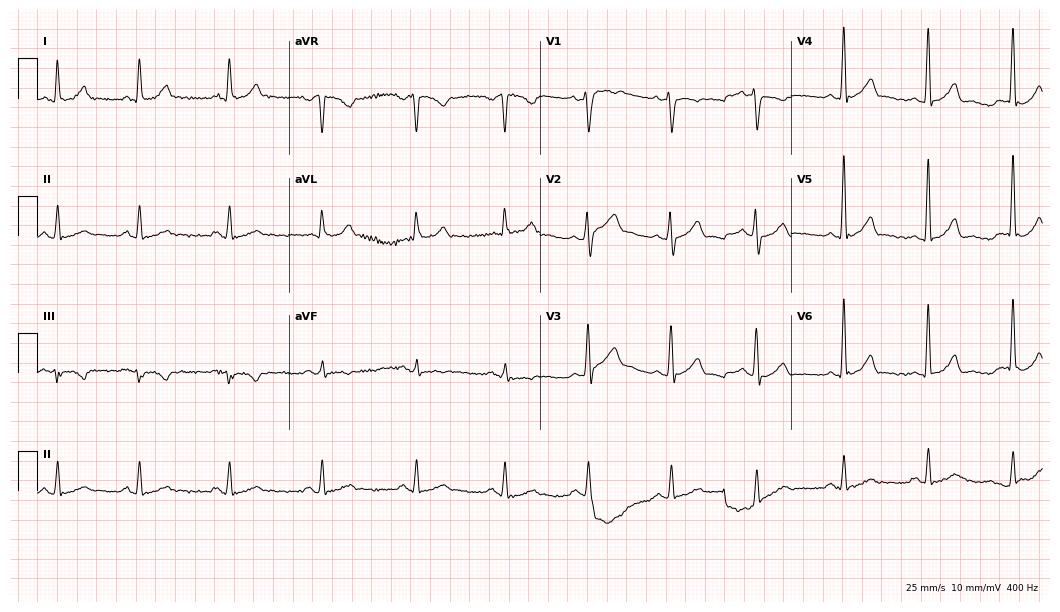
12-lead ECG from a 40-year-old male patient. Recorded interpretation: within normal limits.